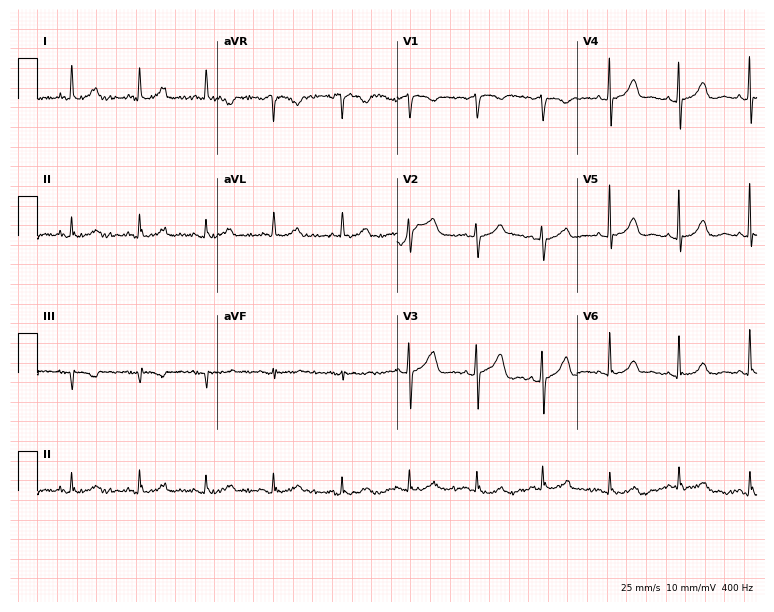
Standard 12-lead ECG recorded from an 83-year-old woman. Read as a normal ECG.